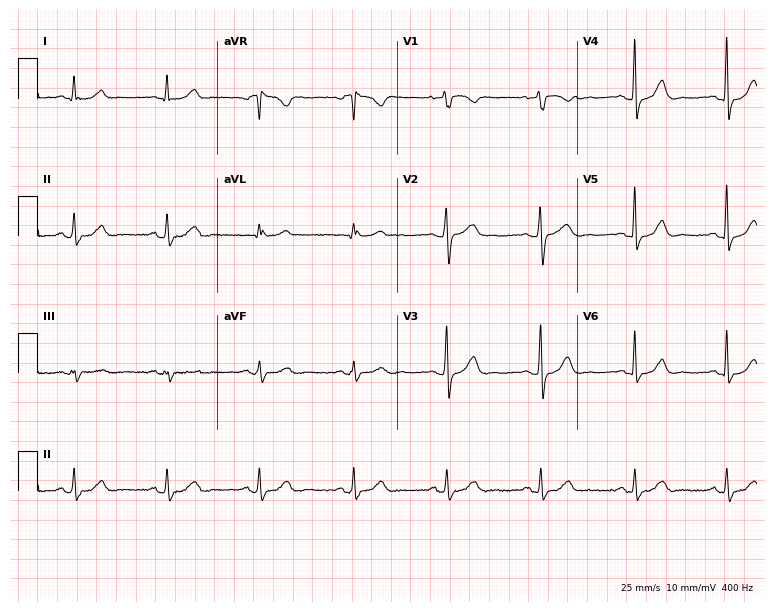
ECG — a female, 69 years old. Labelled as a normal ECG.